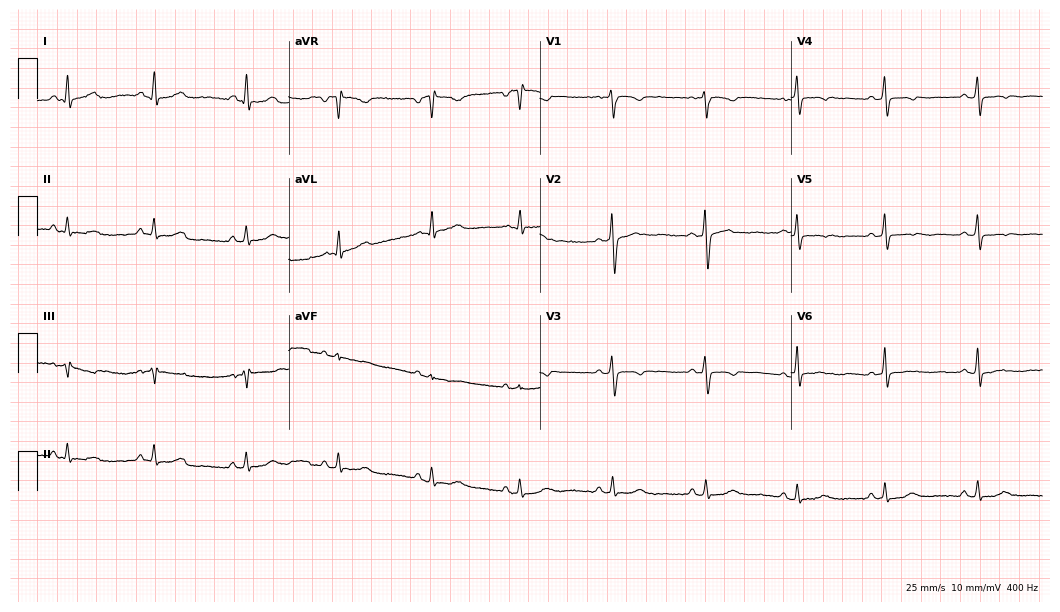
Resting 12-lead electrocardiogram. Patient: a woman, 54 years old. None of these six findings is recorded: first-degree AV block, right bundle branch block, left bundle branch block, sinus bradycardia, atrial fibrillation, sinus tachycardia. Only these six findings were labelled.